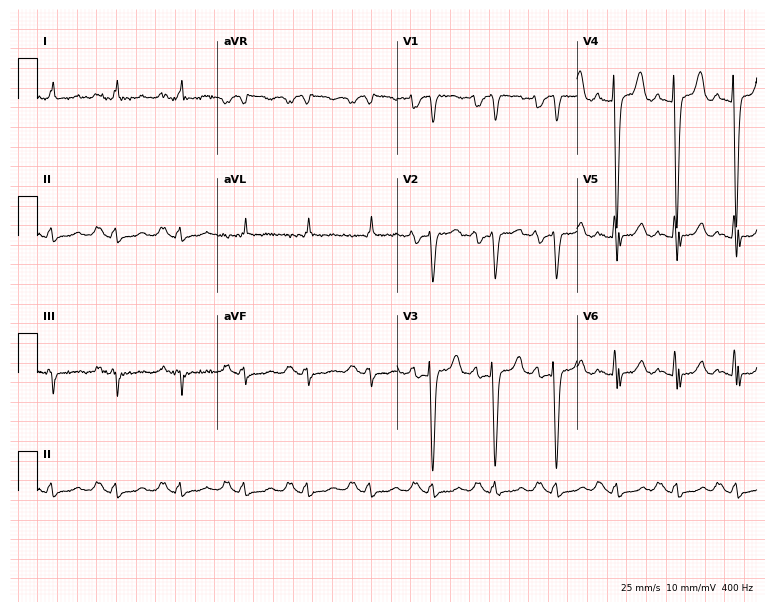
Electrocardiogram (7.3-second recording at 400 Hz), a male, 33 years old. Of the six screened findings (first-degree AV block, right bundle branch block, left bundle branch block, sinus bradycardia, atrial fibrillation, sinus tachycardia), none is recorded.